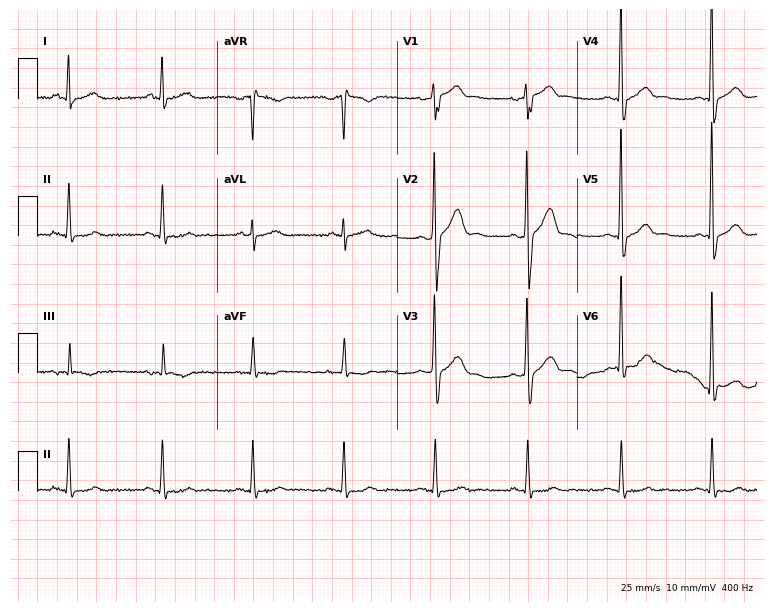
12-lead ECG (7.3-second recording at 400 Hz) from a 41-year-old male. Screened for six findings — first-degree AV block, right bundle branch block, left bundle branch block, sinus bradycardia, atrial fibrillation, sinus tachycardia — none is recorded.